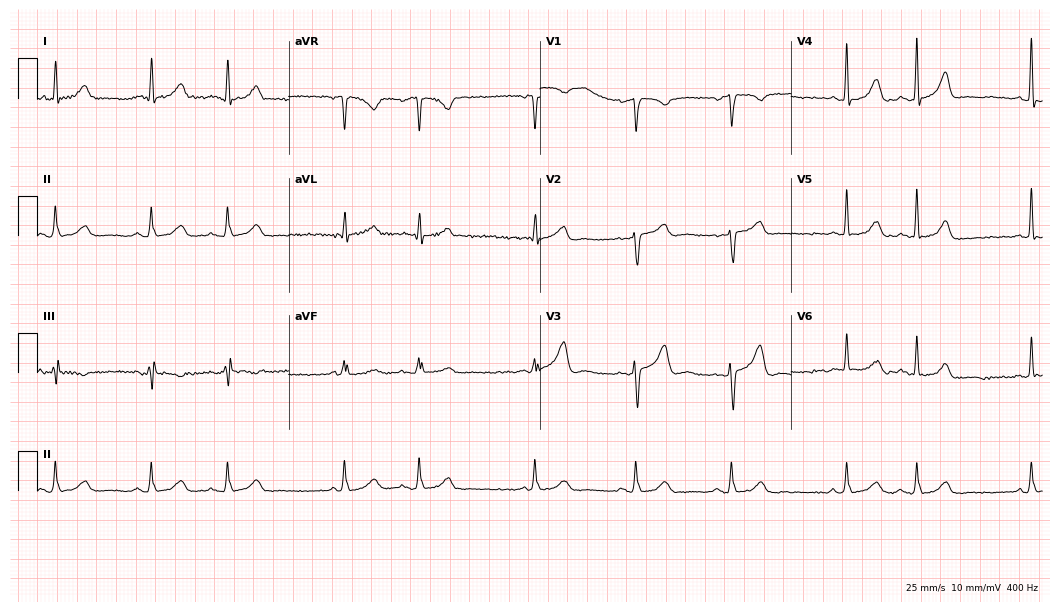
Resting 12-lead electrocardiogram (10.2-second recording at 400 Hz). Patient: a 60-year-old woman. None of these six findings is recorded: first-degree AV block, right bundle branch block, left bundle branch block, sinus bradycardia, atrial fibrillation, sinus tachycardia.